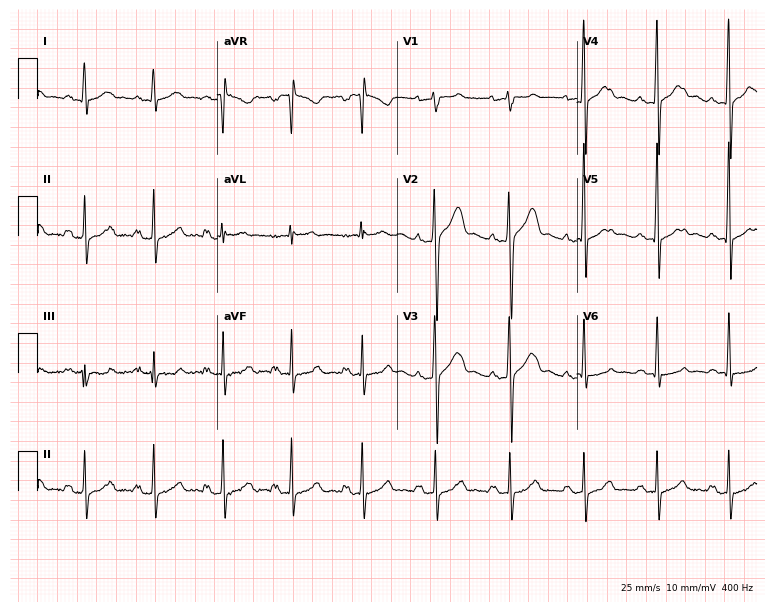
Resting 12-lead electrocardiogram (7.3-second recording at 400 Hz). Patient: a male, 34 years old. Read as a normal ECG.